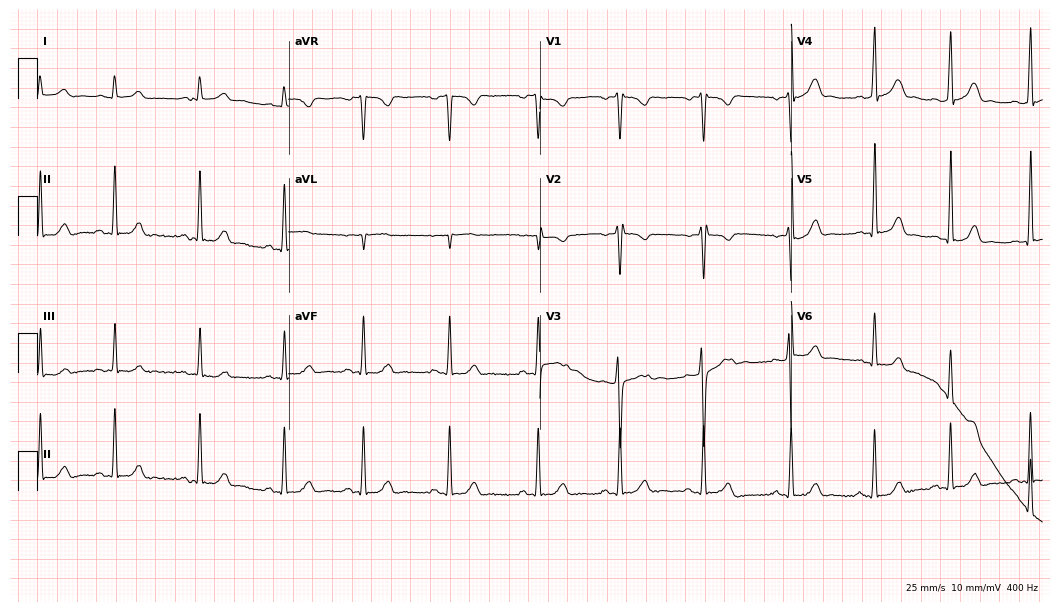
12-lead ECG from a 40-year-old female patient (10.2-second recording at 400 Hz). No first-degree AV block, right bundle branch block, left bundle branch block, sinus bradycardia, atrial fibrillation or sinus tachycardia recorded for this tracing.